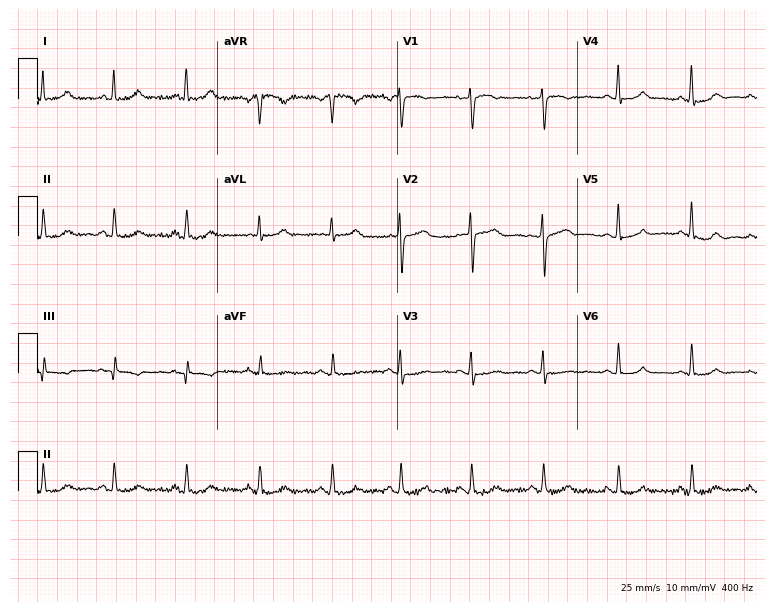
12-lead ECG from a 53-year-old woman. Labelled as a normal ECG.